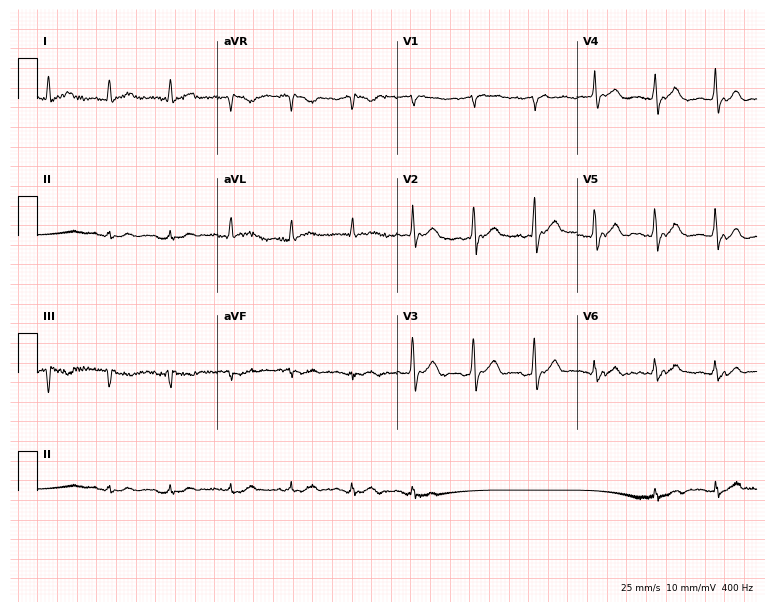
Electrocardiogram, a 72-year-old male patient. Overall reading on record: normal ECG.